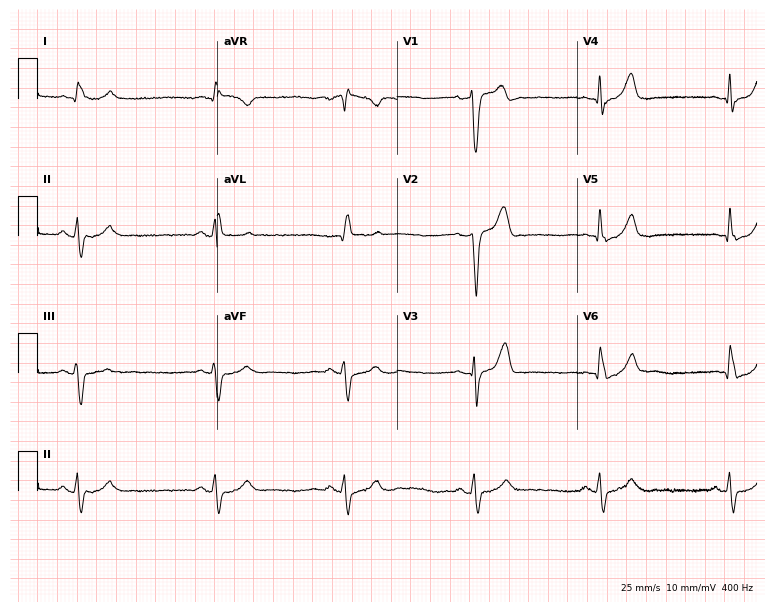
ECG — a 68-year-old man. Findings include sinus bradycardia (a sinus rate of 50 beats per minute or less).